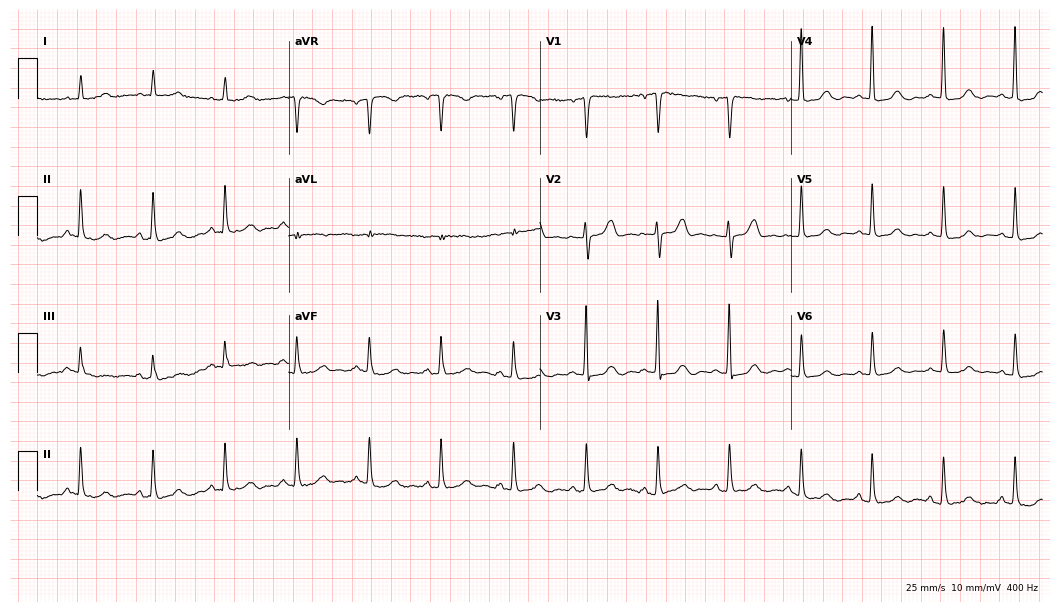
Electrocardiogram (10.2-second recording at 400 Hz), a female patient, 64 years old. Of the six screened findings (first-degree AV block, right bundle branch block, left bundle branch block, sinus bradycardia, atrial fibrillation, sinus tachycardia), none is recorded.